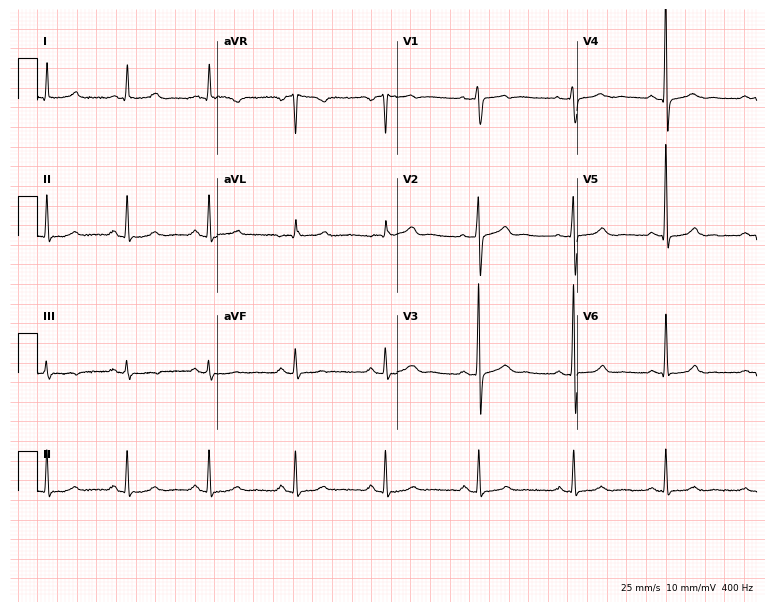
Standard 12-lead ECG recorded from a 55-year-old man (7.3-second recording at 400 Hz). None of these six findings is recorded: first-degree AV block, right bundle branch block, left bundle branch block, sinus bradycardia, atrial fibrillation, sinus tachycardia. Only these six findings were labelled.